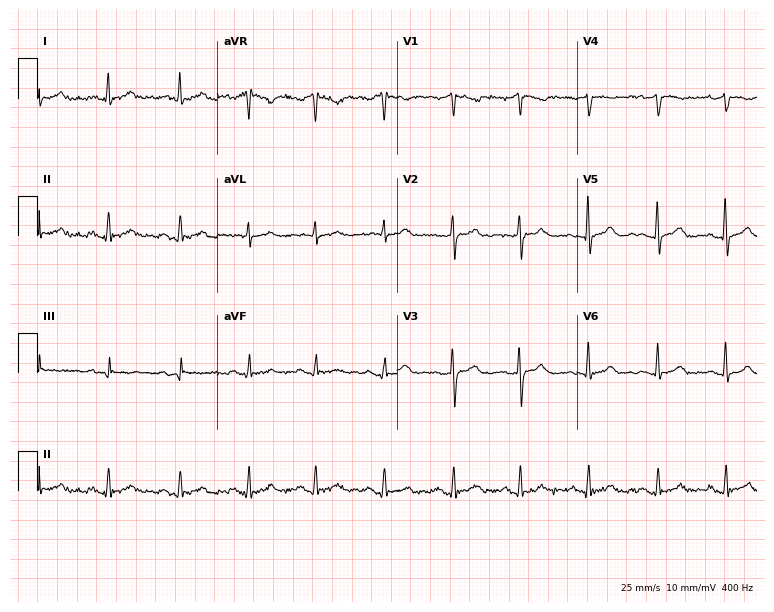
12-lead ECG from a 57-year-old woman. Labelled as a normal ECG.